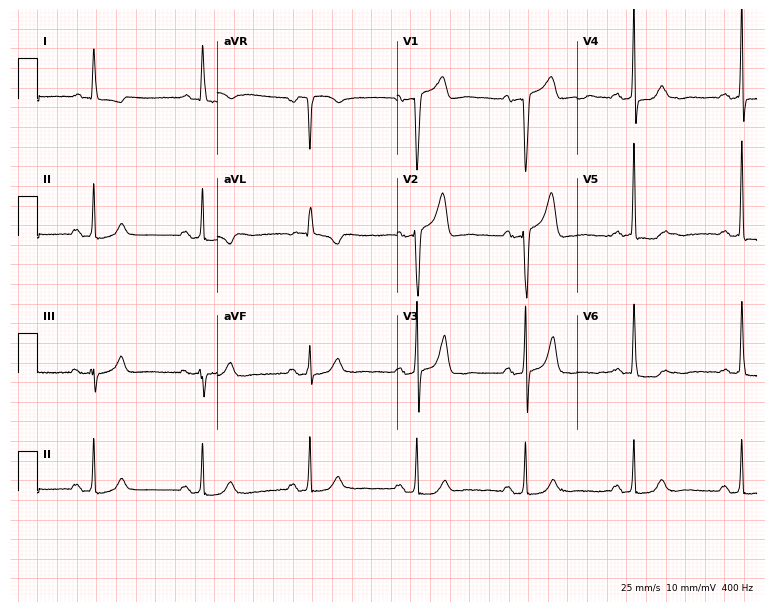
12-lead ECG (7.3-second recording at 400 Hz) from a man, 72 years old. Screened for six findings — first-degree AV block, right bundle branch block, left bundle branch block, sinus bradycardia, atrial fibrillation, sinus tachycardia — none is recorded.